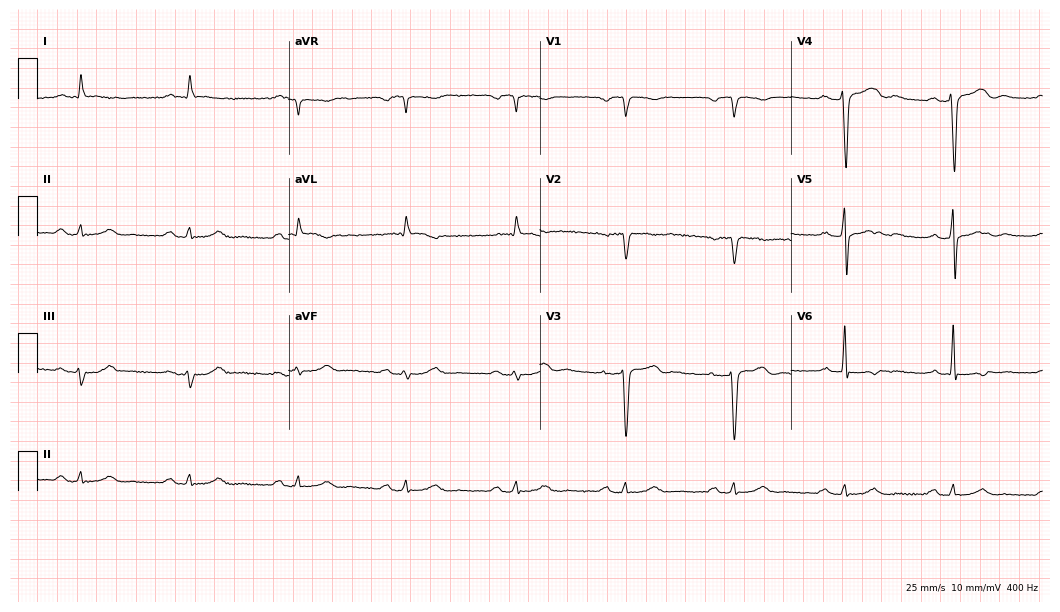
Electrocardiogram, a male patient, 75 years old. Of the six screened findings (first-degree AV block, right bundle branch block, left bundle branch block, sinus bradycardia, atrial fibrillation, sinus tachycardia), none is recorded.